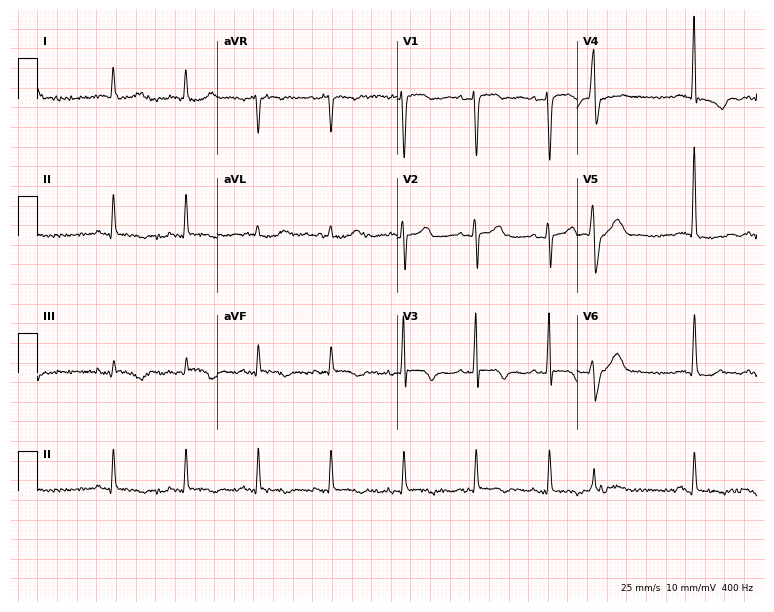
Resting 12-lead electrocardiogram (7.3-second recording at 400 Hz). Patient: a woman, 82 years old. None of these six findings is recorded: first-degree AV block, right bundle branch block (RBBB), left bundle branch block (LBBB), sinus bradycardia, atrial fibrillation (AF), sinus tachycardia.